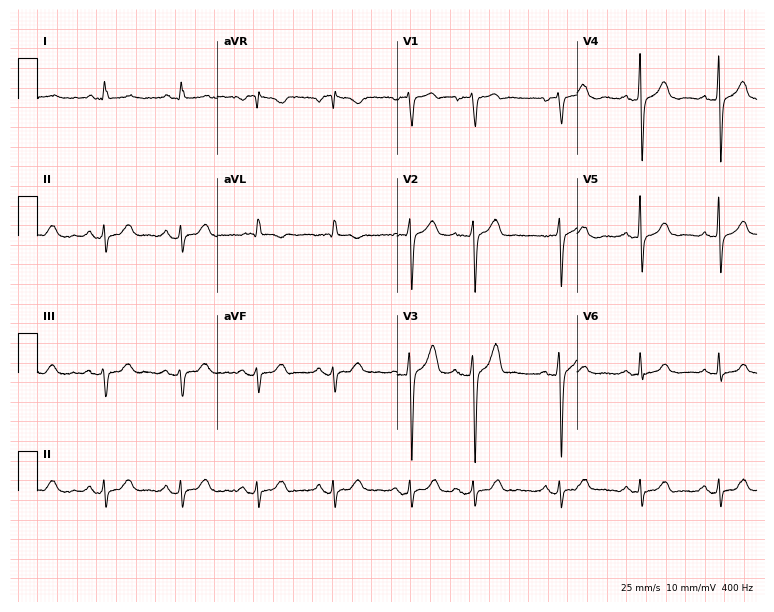
Standard 12-lead ECG recorded from a man, 77 years old. Read as a normal ECG.